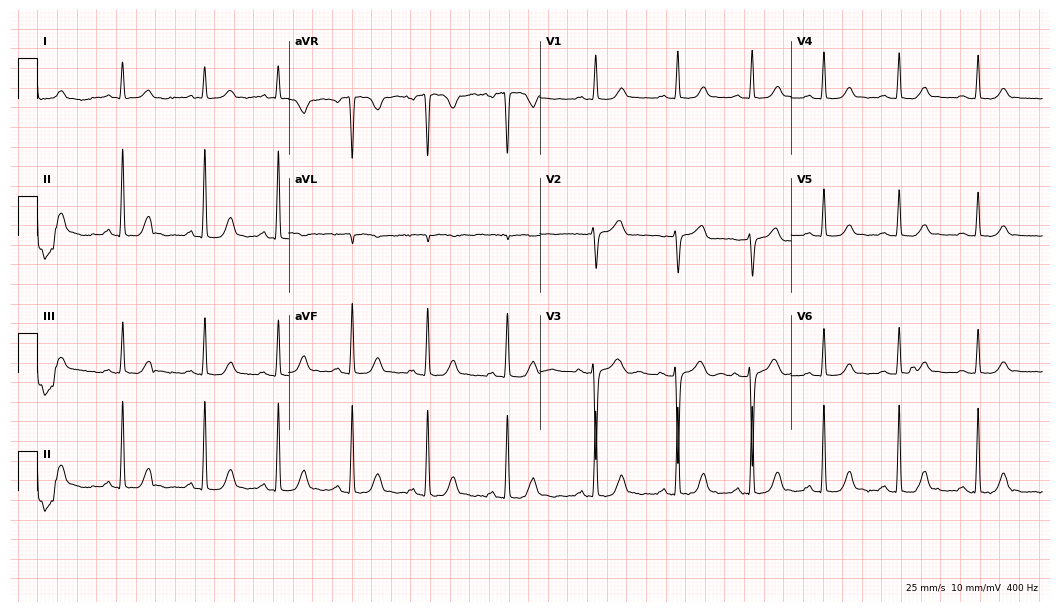
12-lead ECG (10.2-second recording at 400 Hz) from a female patient, 51 years old. Labelled as a normal ECG.